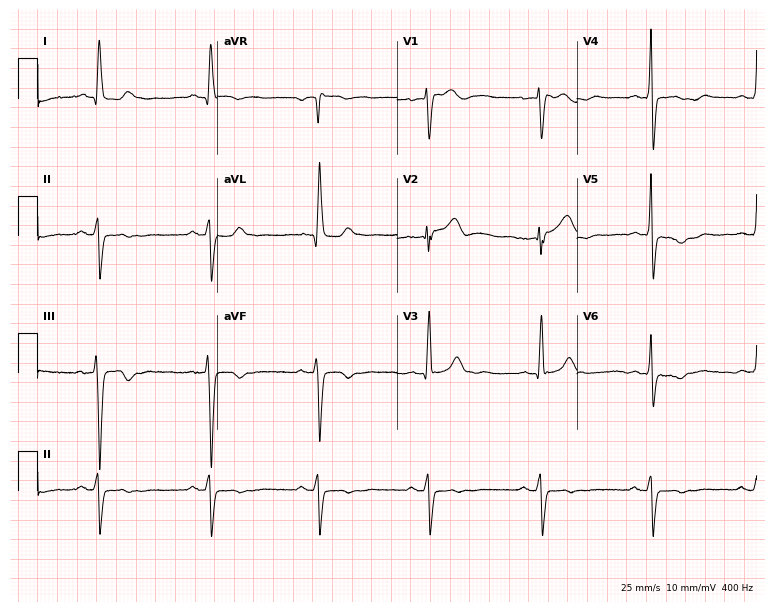
12-lead ECG from a 69-year-old male. No first-degree AV block, right bundle branch block, left bundle branch block, sinus bradycardia, atrial fibrillation or sinus tachycardia recorded for this tracing.